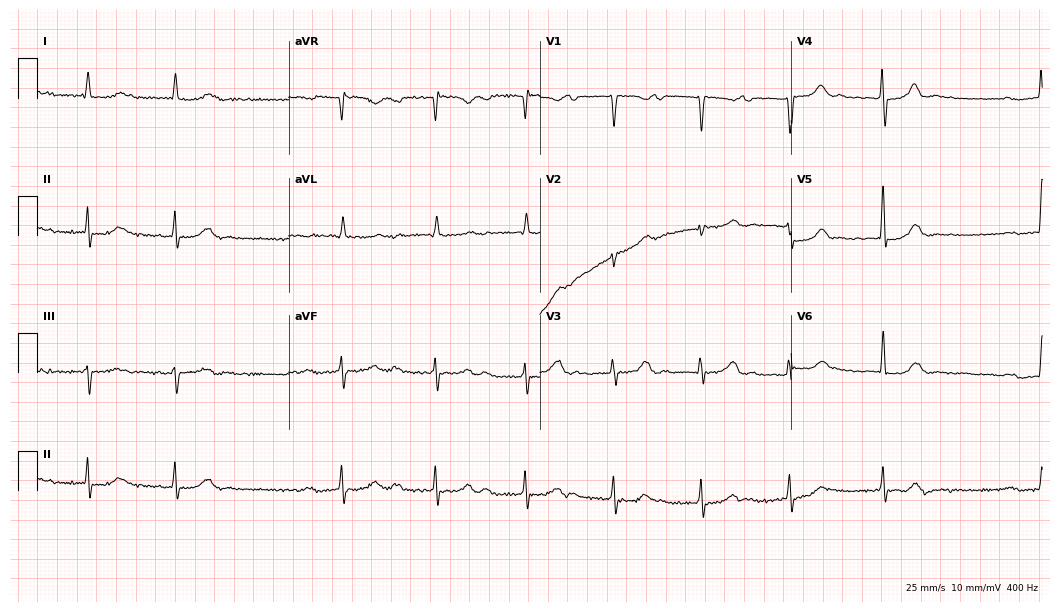
12-lead ECG from a 17-year-old male patient (10.2-second recording at 400 Hz). No first-degree AV block, right bundle branch block, left bundle branch block, sinus bradycardia, atrial fibrillation or sinus tachycardia recorded for this tracing.